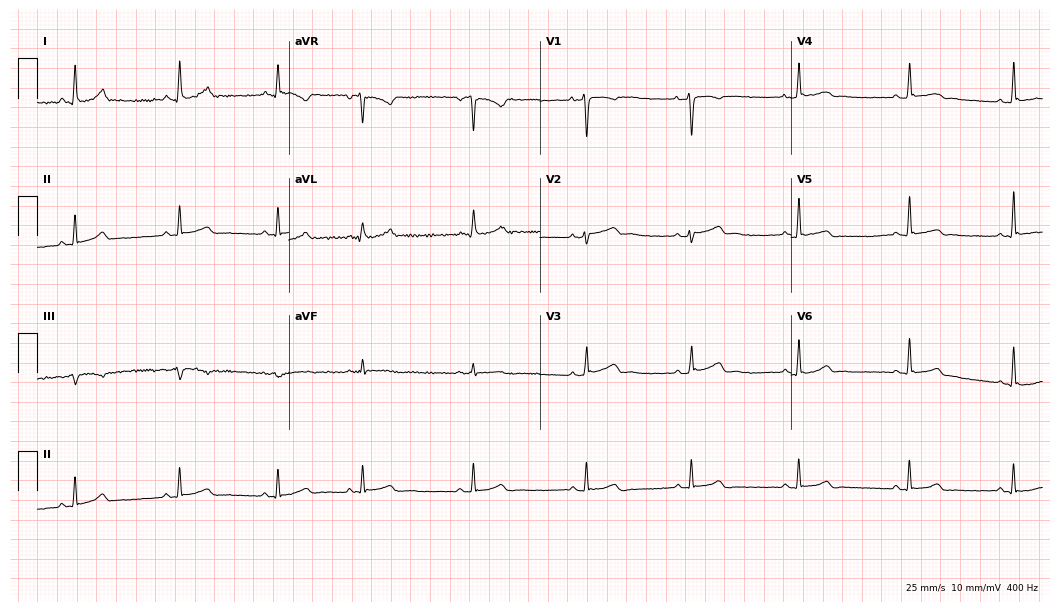
Standard 12-lead ECG recorded from a female patient, 28 years old. Read as a normal ECG.